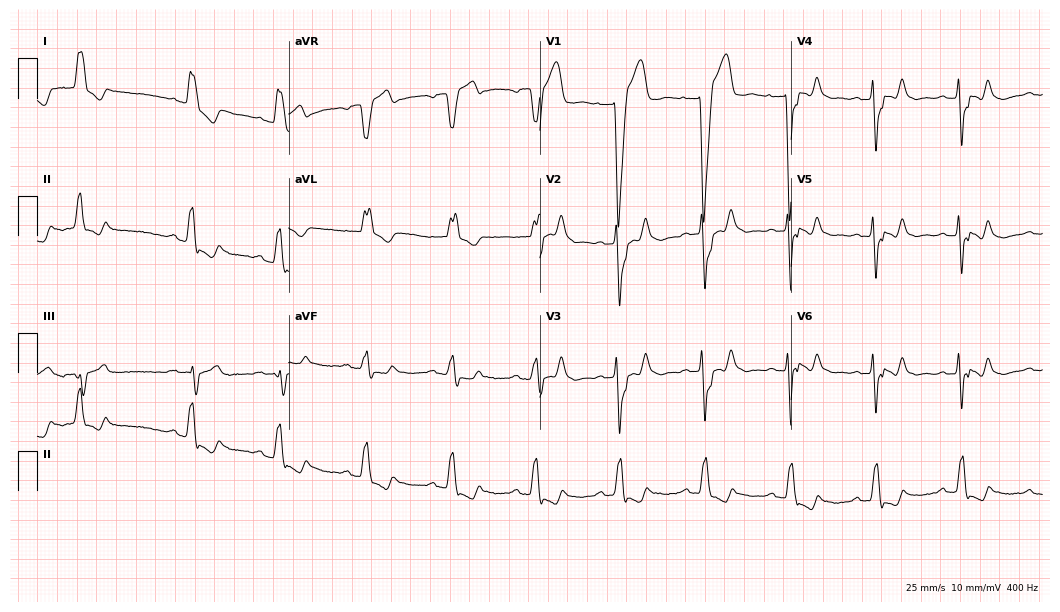
ECG — a woman, 80 years old. Findings include left bundle branch block.